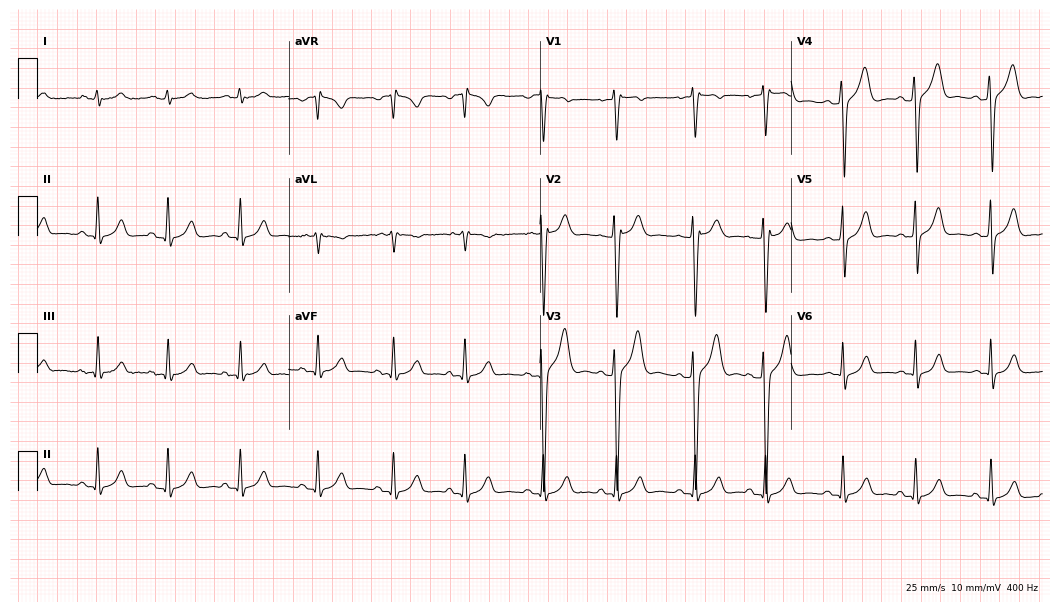
Resting 12-lead electrocardiogram (10.2-second recording at 400 Hz). Patient: a 26-year-old man. Read as a normal ECG.